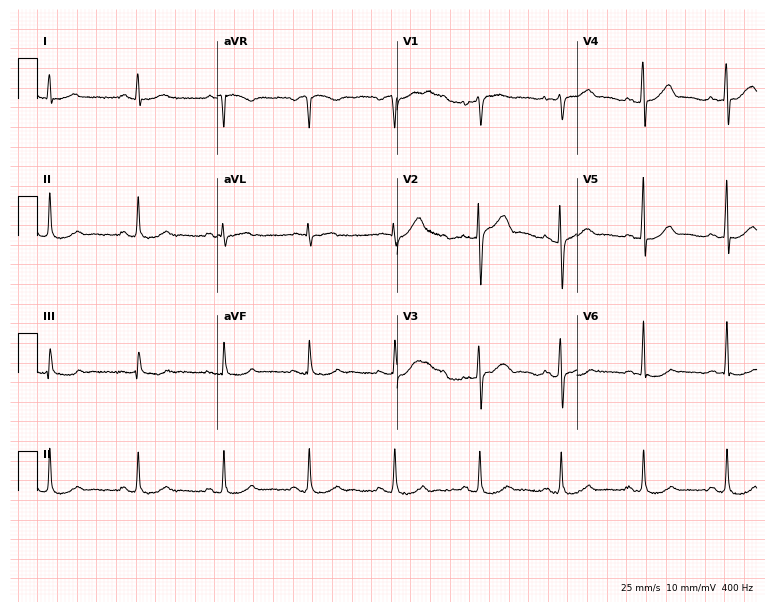
Electrocardiogram, a 71-year-old female patient. Overall reading on record: normal ECG.